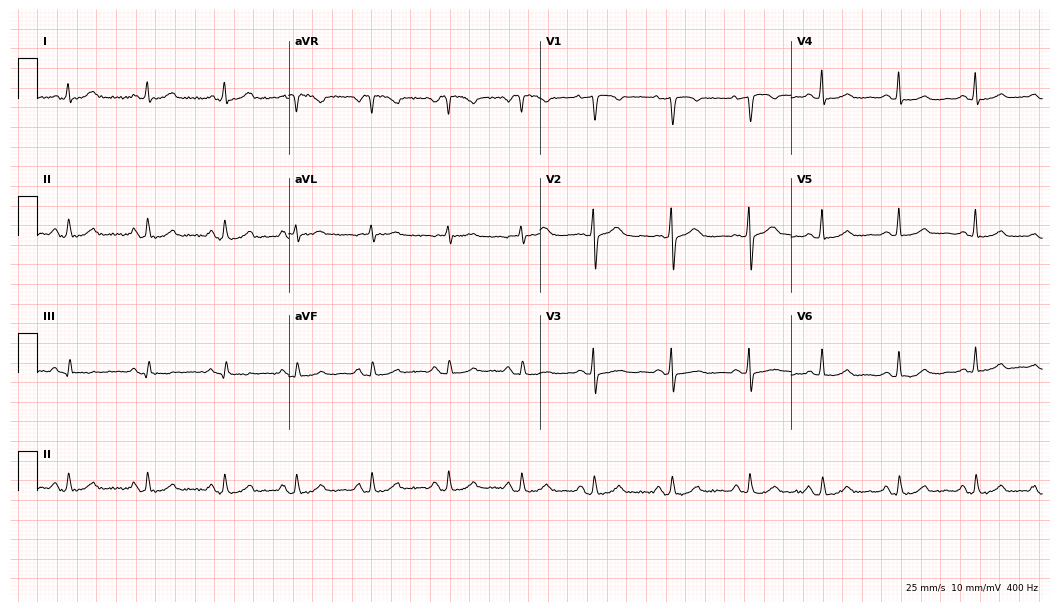
ECG (10.2-second recording at 400 Hz) — a 61-year-old woman. Labelled as a normal ECG.